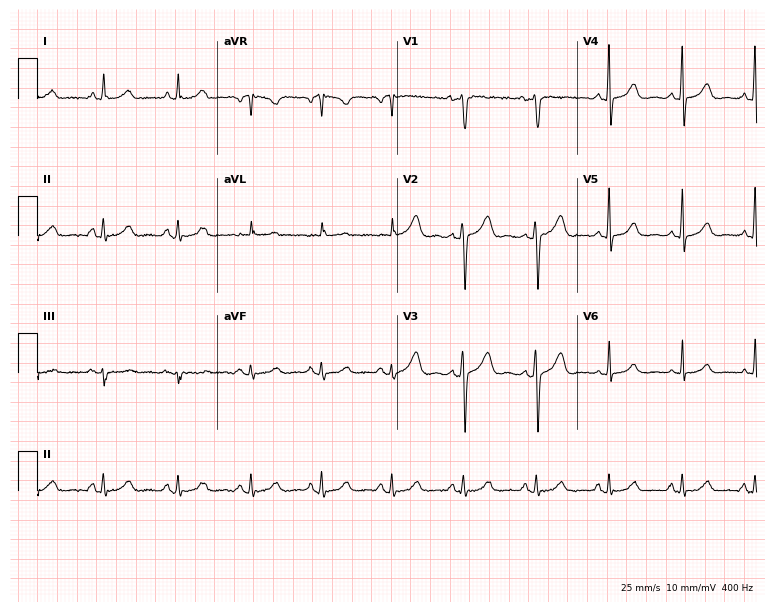
12-lead ECG from a 48-year-old female. Labelled as a normal ECG.